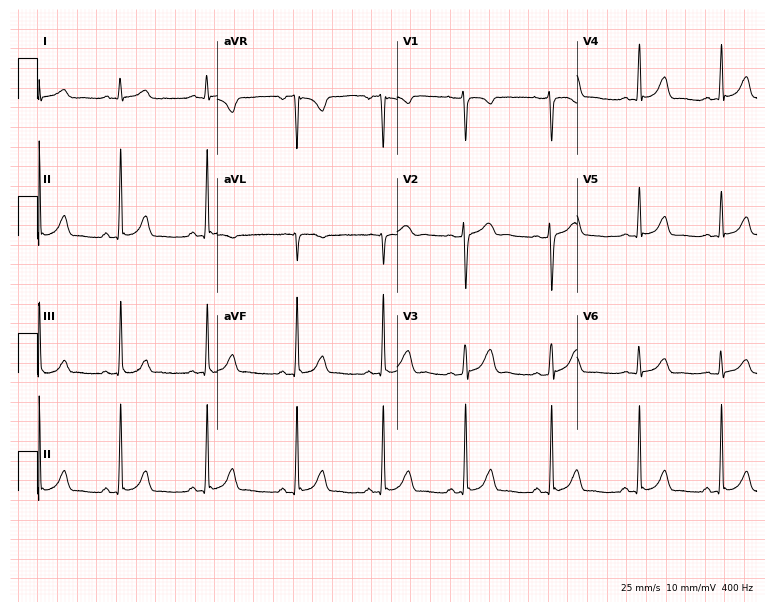
12-lead ECG (7.3-second recording at 400 Hz) from a 19-year-old female patient. Labelled as a normal ECG.